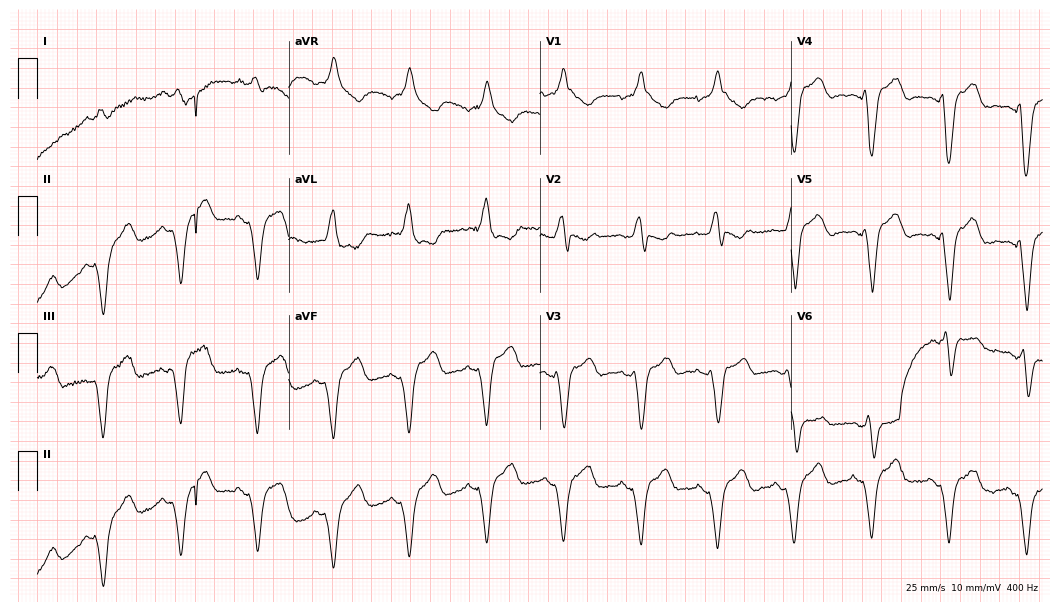
12-lead ECG (10.2-second recording at 400 Hz) from a 61-year-old male. Screened for six findings — first-degree AV block, right bundle branch block (RBBB), left bundle branch block (LBBB), sinus bradycardia, atrial fibrillation (AF), sinus tachycardia — none is recorded.